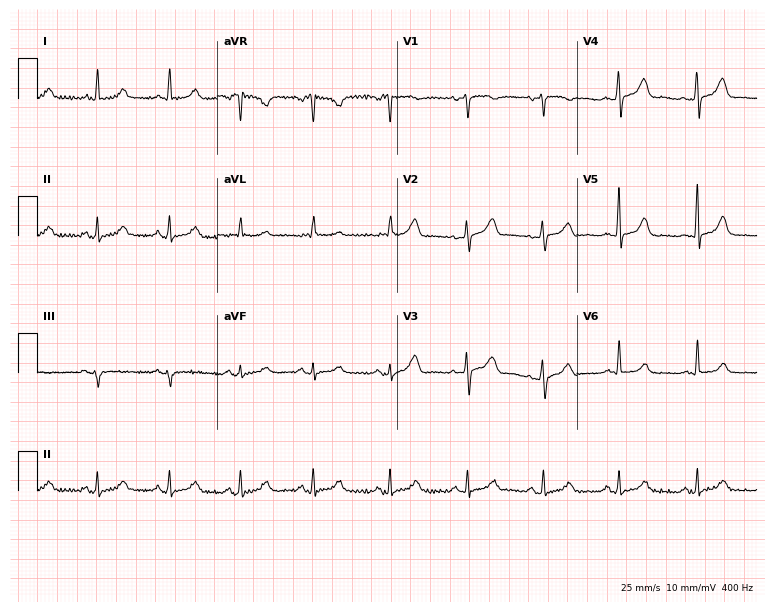
Resting 12-lead electrocardiogram (7.3-second recording at 400 Hz). Patient: an 84-year-old female. Read as a normal ECG.